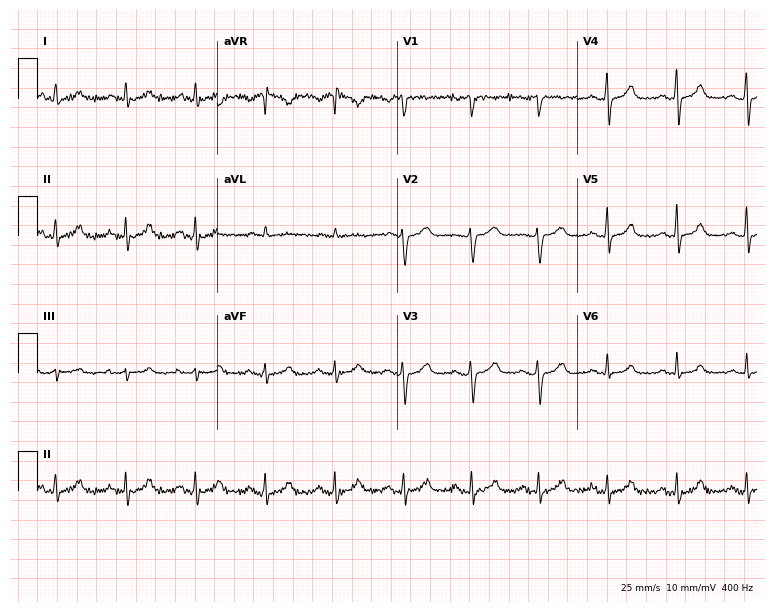
Electrocardiogram (7.3-second recording at 400 Hz), a 35-year-old female patient. Of the six screened findings (first-degree AV block, right bundle branch block, left bundle branch block, sinus bradycardia, atrial fibrillation, sinus tachycardia), none is recorded.